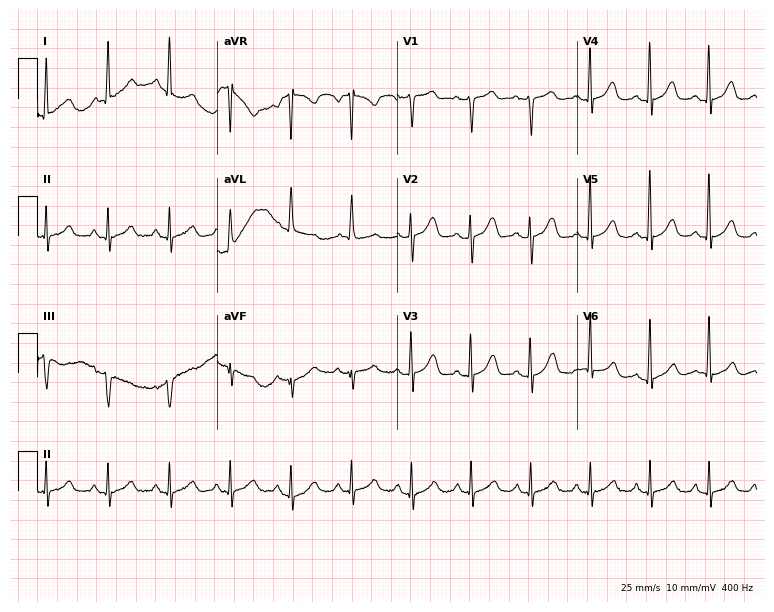
ECG — a female, 57 years old. Labelled as a normal ECG.